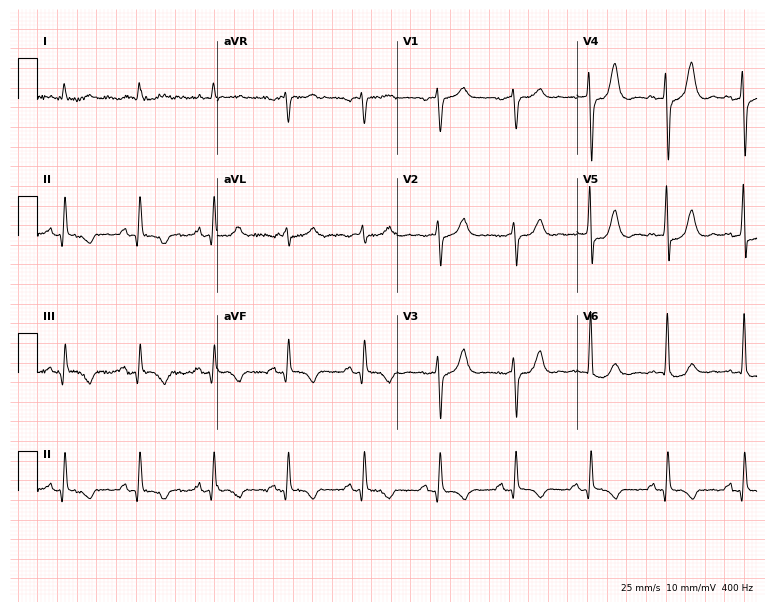
Electrocardiogram, a 70-year-old male patient. Of the six screened findings (first-degree AV block, right bundle branch block (RBBB), left bundle branch block (LBBB), sinus bradycardia, atrial fibrillation (AF), sinus tachycardia), none is recorded. Only these six findings were labelled.